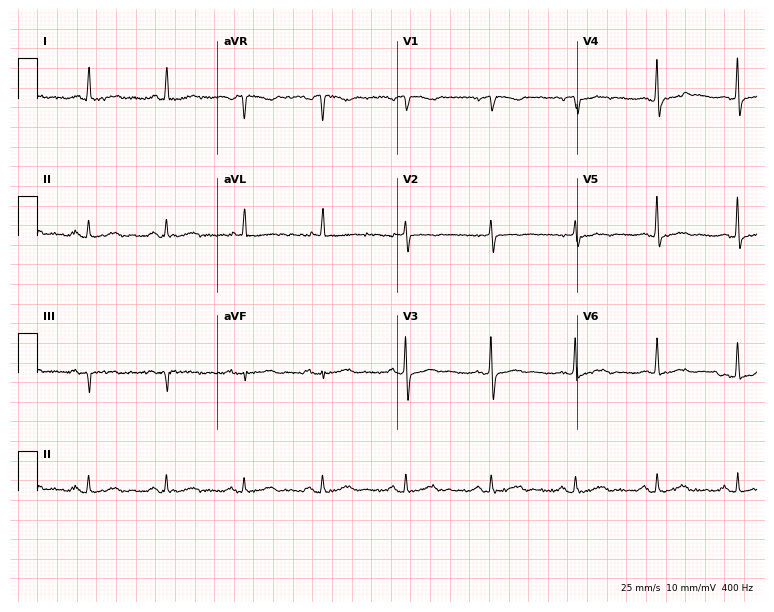
Standard 12-lead ECG recorded from a man, 50 years old (7.3-second recording at 400 Hz). None of these six findings is recorded: first-degree AV block, right bundle branch block (RBBB), left bundle branch block (LBBB), sinus bradycardia, atrial fibrillation (AF), sinus tachycardia. Findings outside these six are not listed.